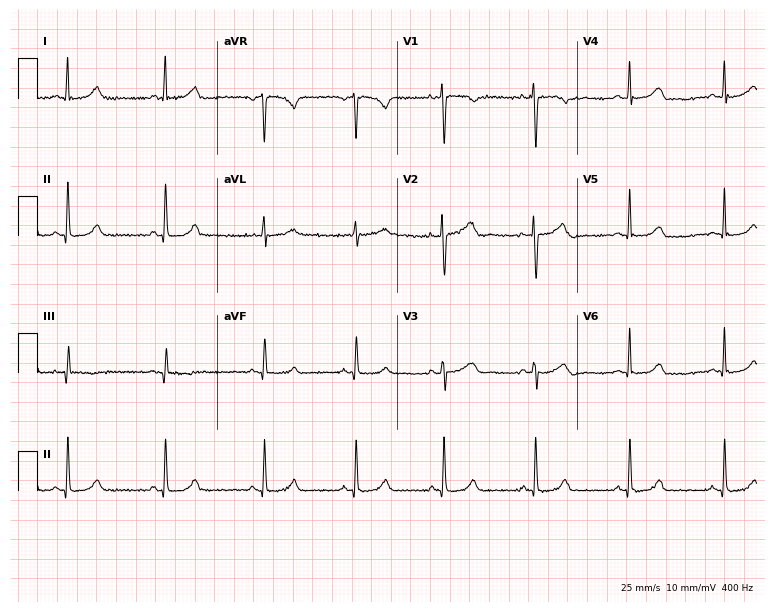
12-lead ECG from a 36-year-old female (7.3-second recording at 400 Hz). Recorded interpretation: within normal limits.